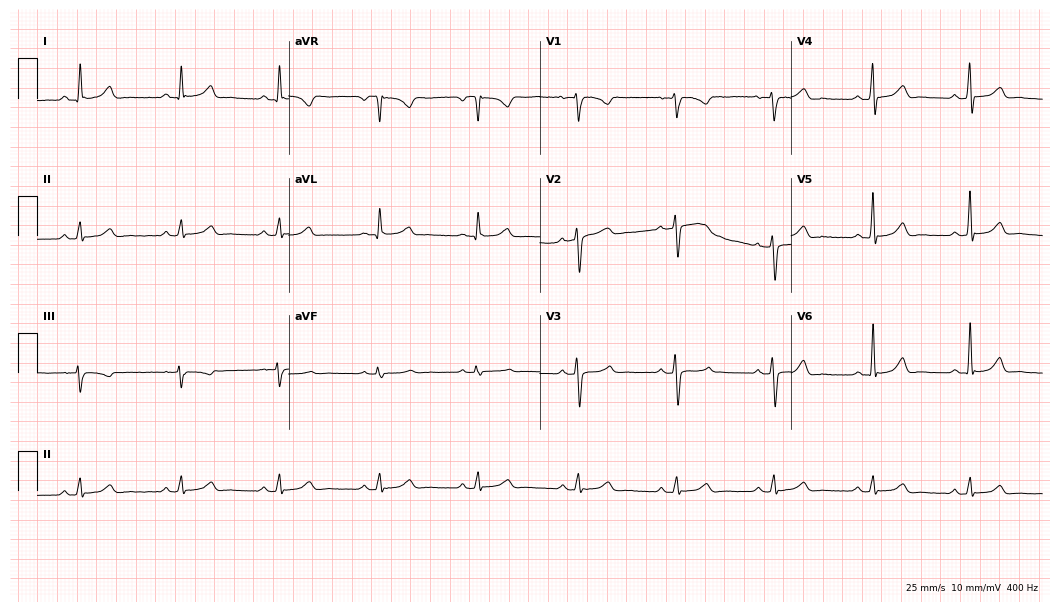
12-lead ECG from a 46-year-old female patient (10.2-second recording at 400 Hz). Recorded interpretation: within normal limits.